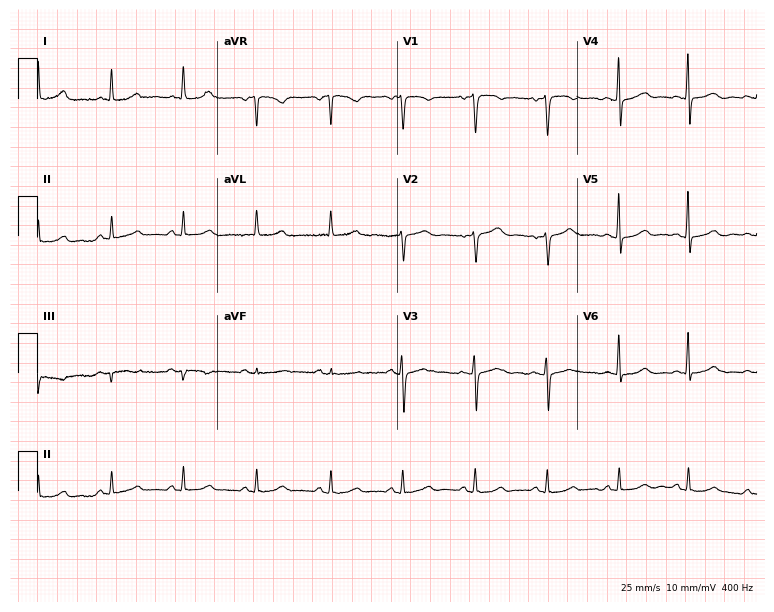
Resting 12-lead electrocardiogram. Patient: a 45-year-old female. Read as a normal ECG.